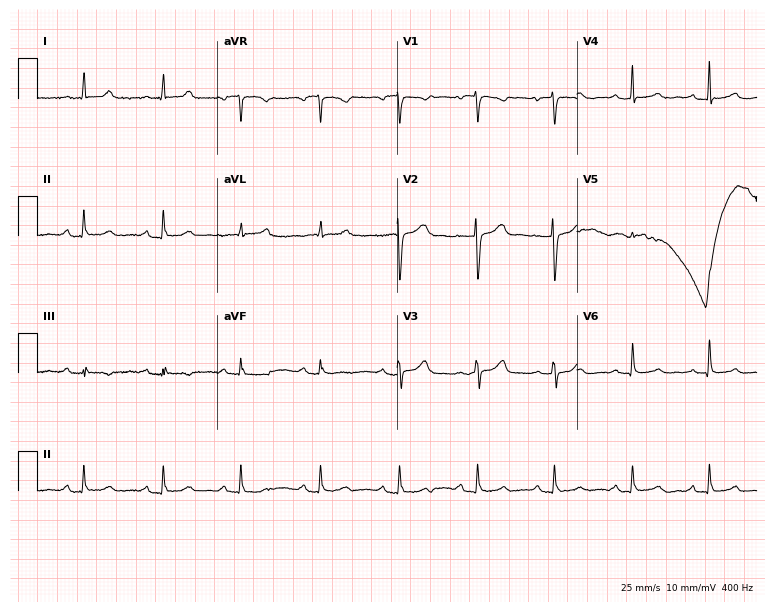
12-lead ECG from a female patient, 65 years old. Recorded interpretation: within normal limits.